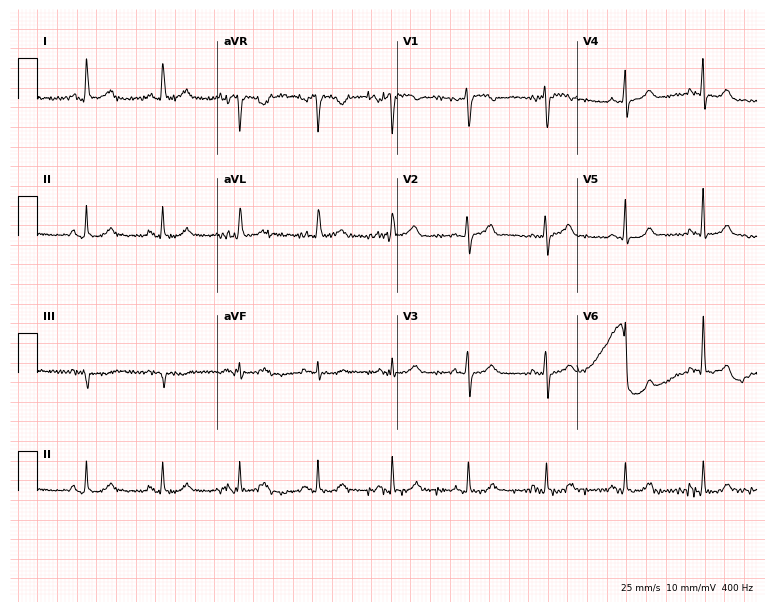
ECG (7.3-second recording at 400 Hz) — a woman, 74 years old. Screened for six findings — first-degree AV block, right bundle branch block (RBBB), left bundle branch block (LBBB), sinus bradycardia, atrial fibrillation (AF), sinus tachycardia — none is recorded. Other findings, if any, are not listed.